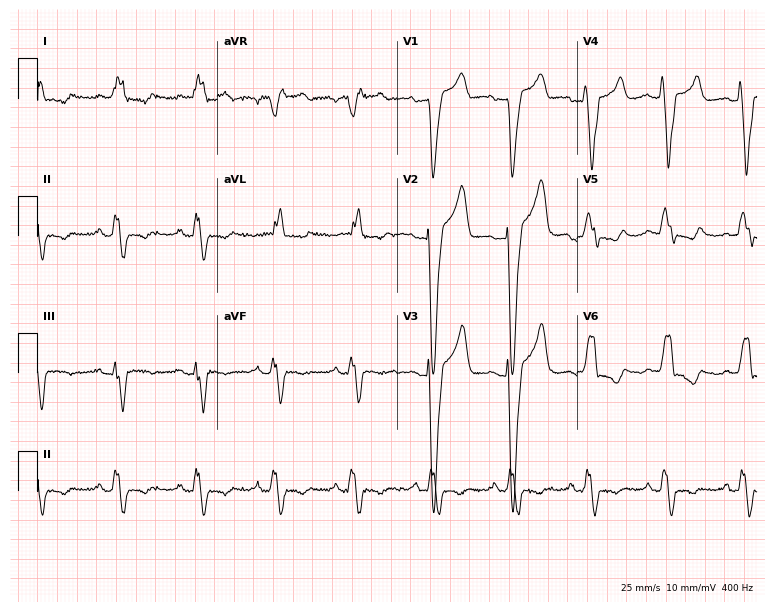
ECG (7.3-second recording at 400 Hz) — a woman, 65 years old. Findings include left bundle branch block.